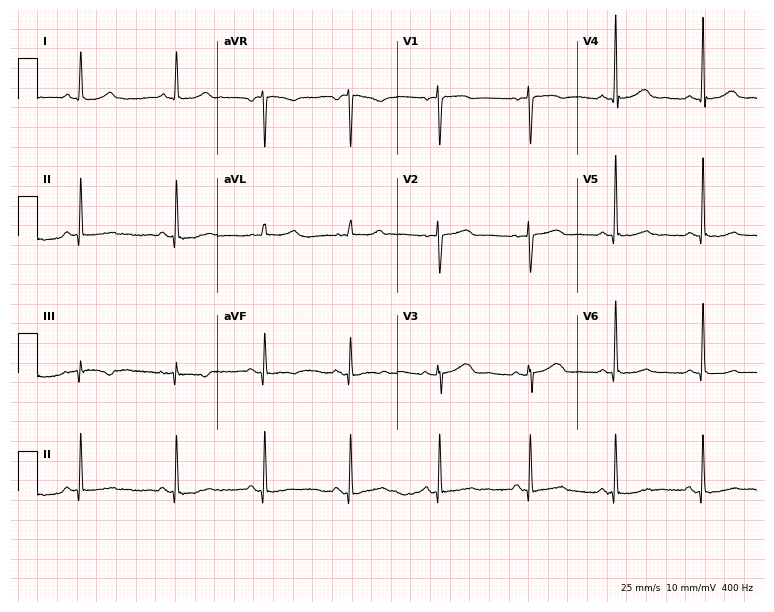
12-lead ECG from a female patient, 39 years old. Screened for six findings — first-degree AV block, right bundle branch block, left bundle branch block, sinus bradycardia, atrial fibrillation, sinus tachycardia — none is recorded.